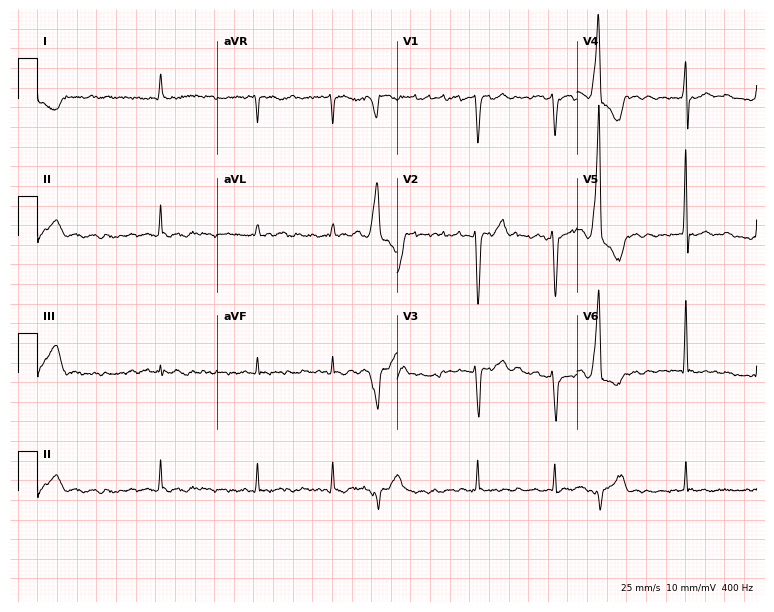
Resting 12-lead electrocardiogram. Patient: a man, 53 years old. The tracing shows atrial fibrillation.